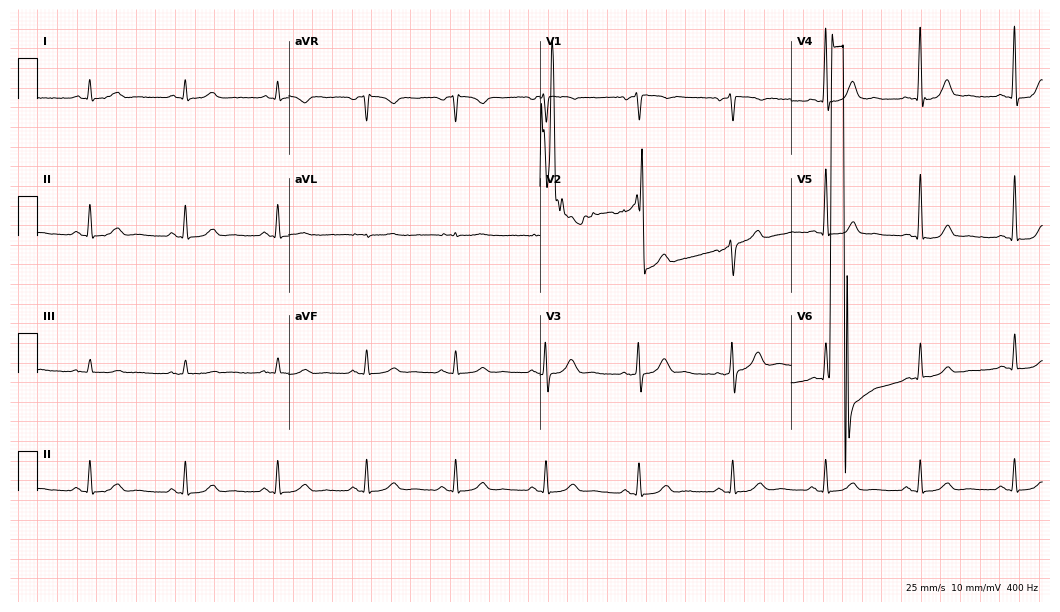
12-lead ECG from a 64-year-old male (10.2-second recording at 400 Hz). No first-degree AV block, right bundle branch block (RBBB), left bundle branch block (LBBB), sinus bradycardia, atrial fibrillation (AF) or sinus tachycardia recorded for this tracing.